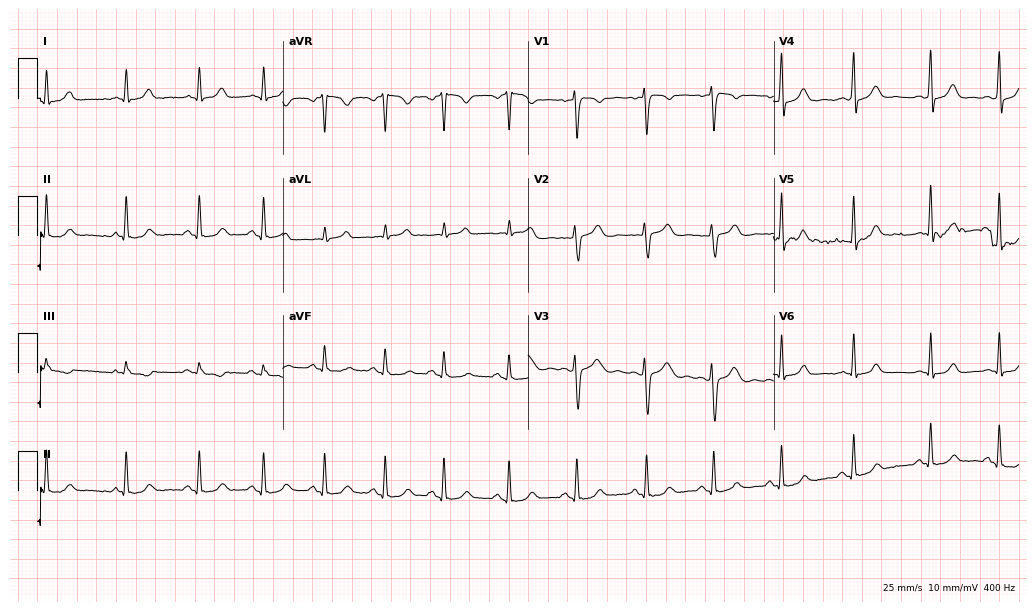
Resting 12-lead electrocardiogram (10-second recording at 400 Hz). Patient: a female, 28 years old. None of these six findings is recorded: first-degree AV block, right bundle branch block, left bundle branch block, sinus bradycardia, atrial fibrillation, sinus tachycardia. Only these six findings were labelled.